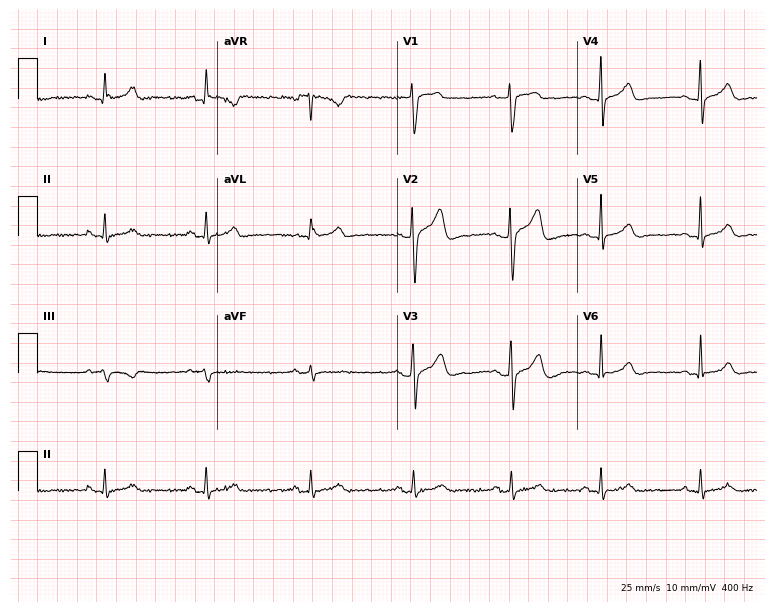
Electrocardiogram, a 31-year-old man. Overall reading on record: normal ECG.